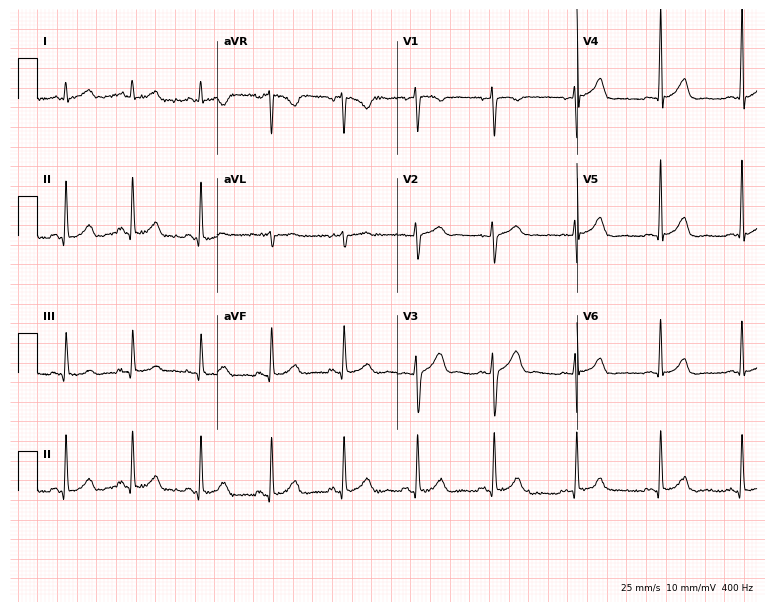
12-lead ECG from a 28-year-old woman. Labelled as a normal ECG.